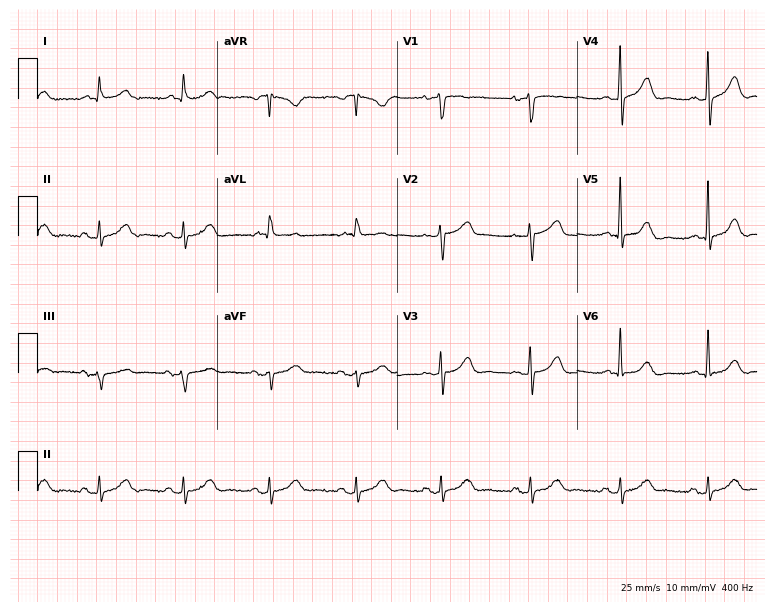
ECG — a male patient, 71 years old. Screened for six findings — first-degree AV block, right bundle branch block, left bundle branch block, sinus bradycardia, atrial fibrillation, sinus tachycardia — none is recorded. Other findings, if any, are not listed.